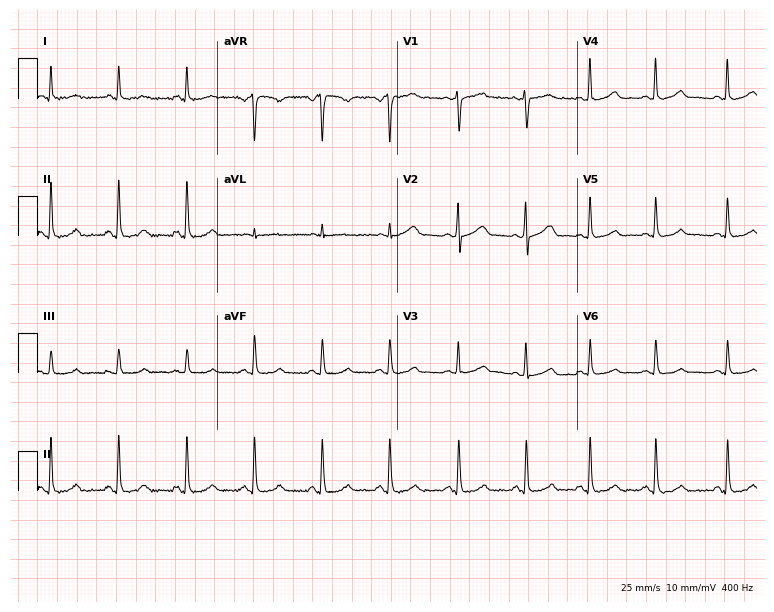
Electrocardiogram, a woman, 22 years old. Overall reading on record: normal ECG.